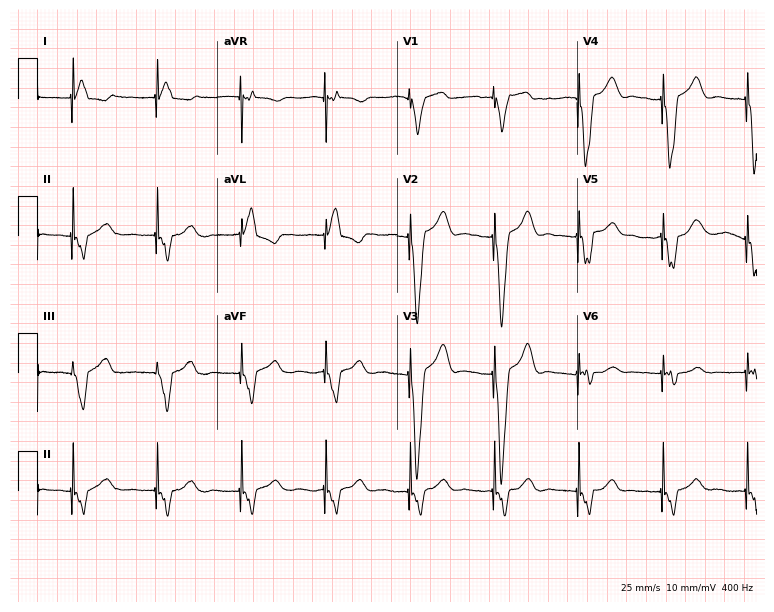
Standard 12-lead ECG recorded from a female patient, 71 years old. None of these six findings is recorded: first-degree AV block, right bundle branch block, left bundle branch block, sinus bradycardia, atrial fibrillation, sinus tachycardia.